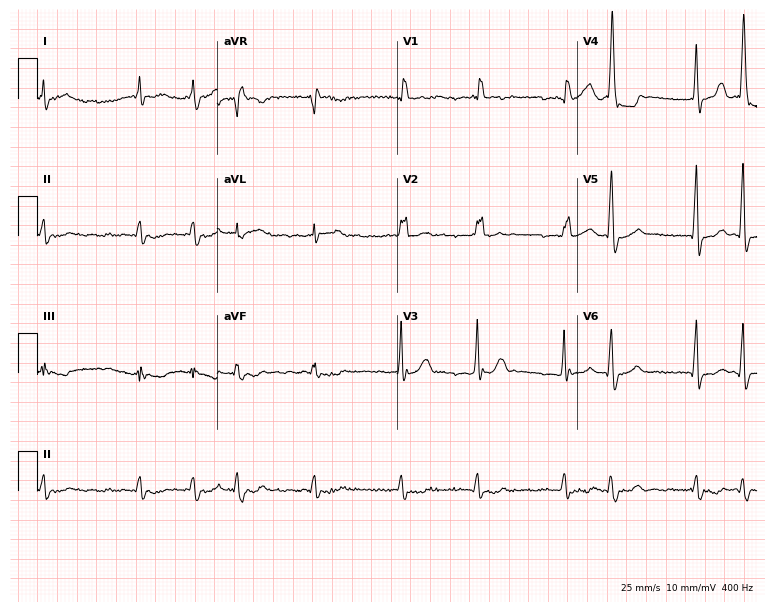
ECG — a man, 64 years old. Findings include right bundle branch block, atrial fibrillation.